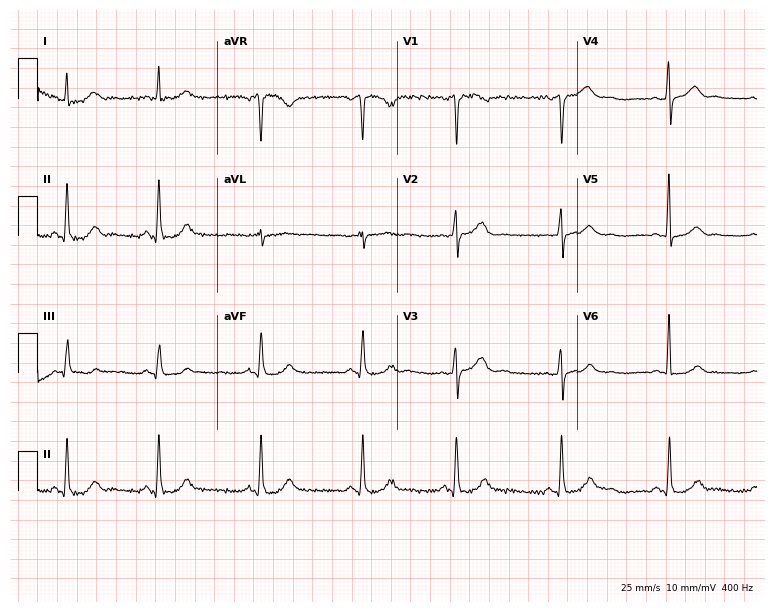
12-lead ECG (7.3-second recording at 400 Hz) from a 47-year-old woman. Screened for six findings — first-degree AV block, right bundle branch block, left bundle branch block, sinus bradycardia, atrial fibrillation, sinus tachycardia — none is recorded. Findings outside these six are not listed.